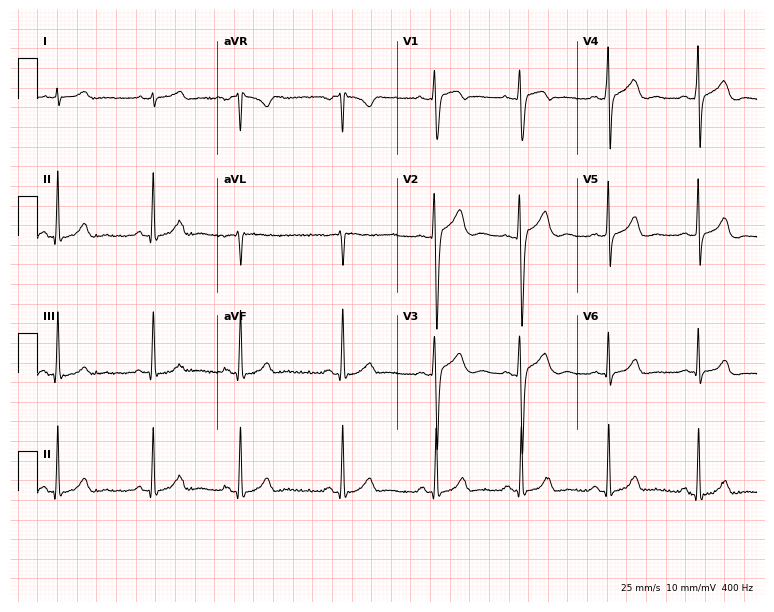
Resting 12-lead electrocardiogram. Patient: a 24-year-old woman. Read as a normal ECG.